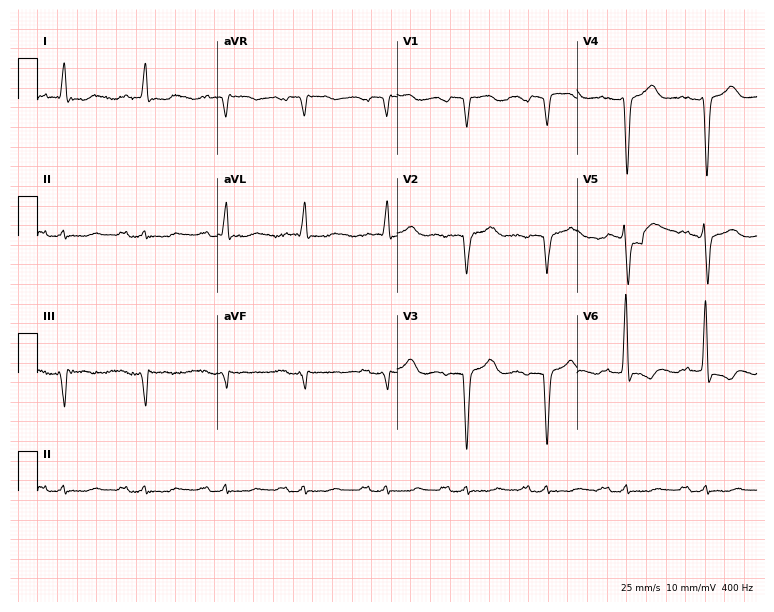
12-lead ECG from a 65-year-old male patient. Shows first-degree AV block.